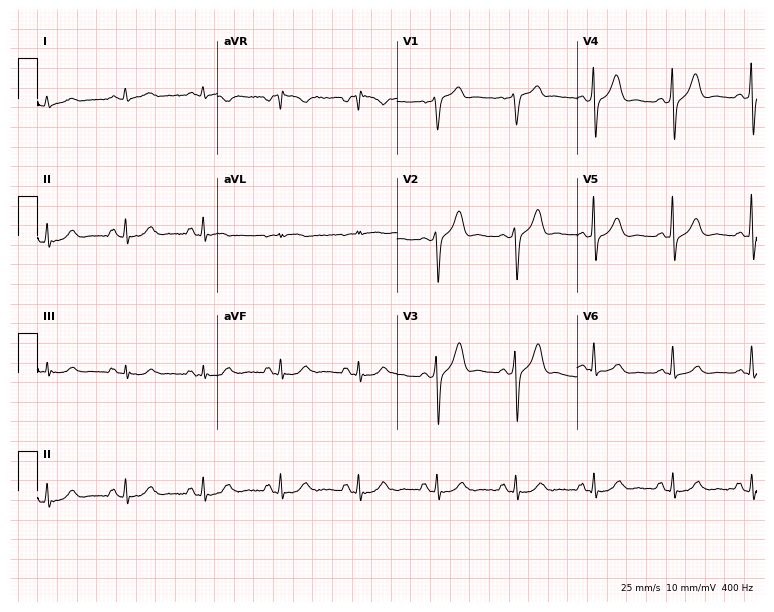
Resting 12-lead electrocardiogram (7.3-second recording at 400 Hz). Patient: a male, 63 years old. None of these six findings is recorded: first-degree AV block, right bundle branch block, left bundle branch block, sinus bradycardia, atrial fibrillation, sinus tachycardia. Other findings, if any, are not listed.